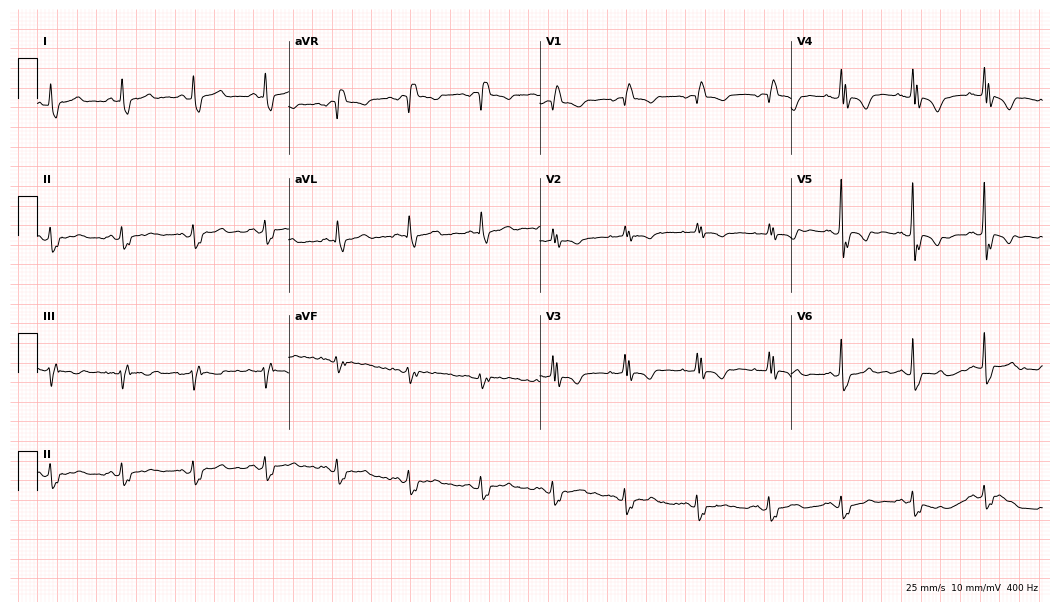
Resting 12-lead electrocardiogram. Patient: a female, 76 years old. The tracing shows right bundle branch block.